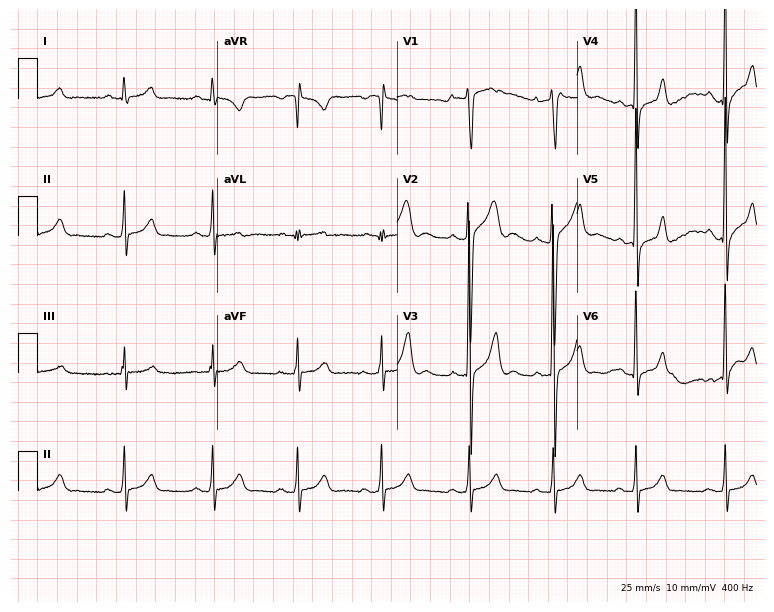
Electrocardiogram, a male patient, 18 years old. Overall reading on record: normal ECG.